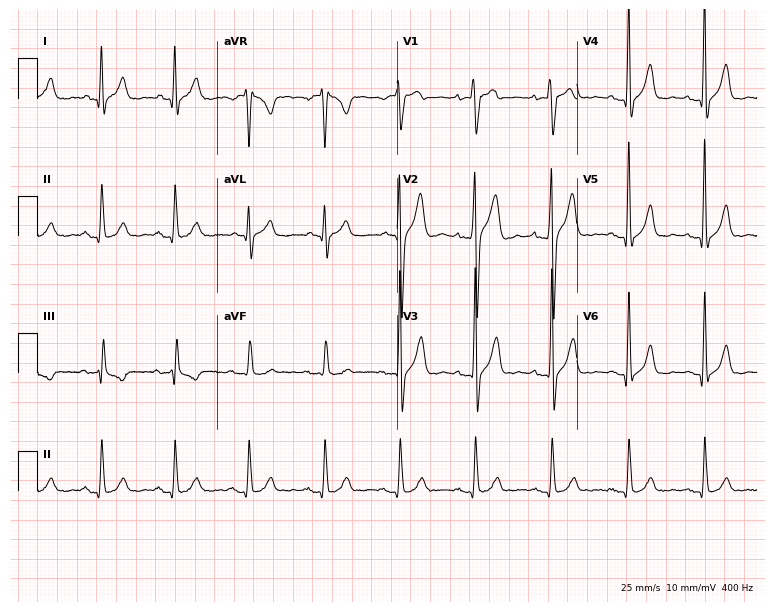
12-lead ECG from a male, 30 years old (7.3-second recording at 400 Hz). Recorded interpretation: within normal limits.